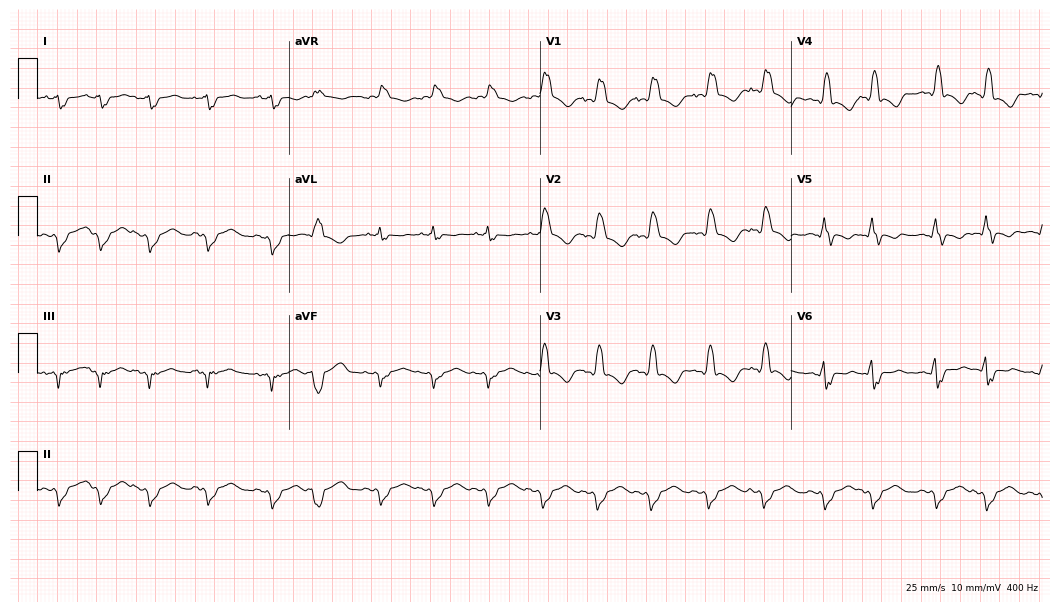
Resting 12-lead electrocardiogram (10.2-second recording at 400 Hz). Patient: a 35-year-old male. The tracing shows right bundle branch block, sinus tachycardia (a sinus rate of 100 beats per minute or more).